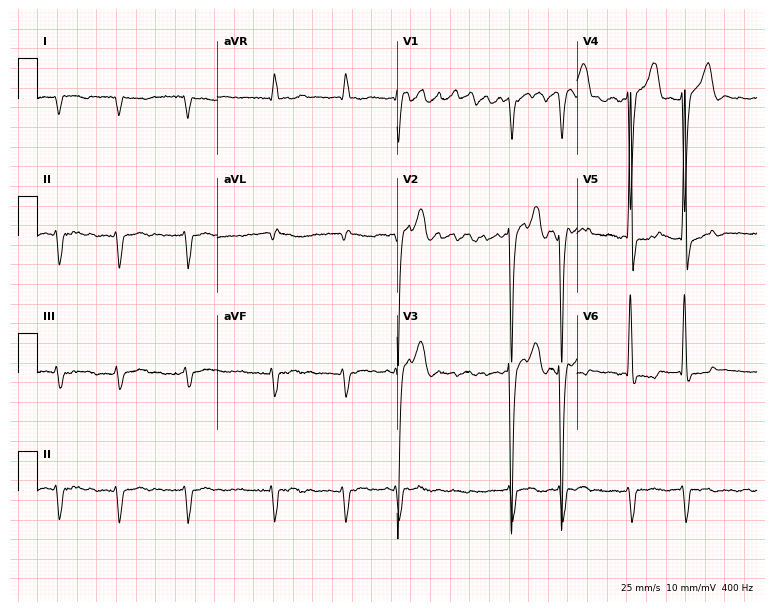
Resting 12-lead electrocardiogram (7.3-second recording at 400 Hz). Patient: a male, 82 years old. None of these six findings is recorded: first-degree AV block, right bundle branch block (RBBB), left bundle branch block (LBBB), sinus bradycardia, atrial fibrillation (AF), sinus tachycardia. Findings outside these six are not listed.